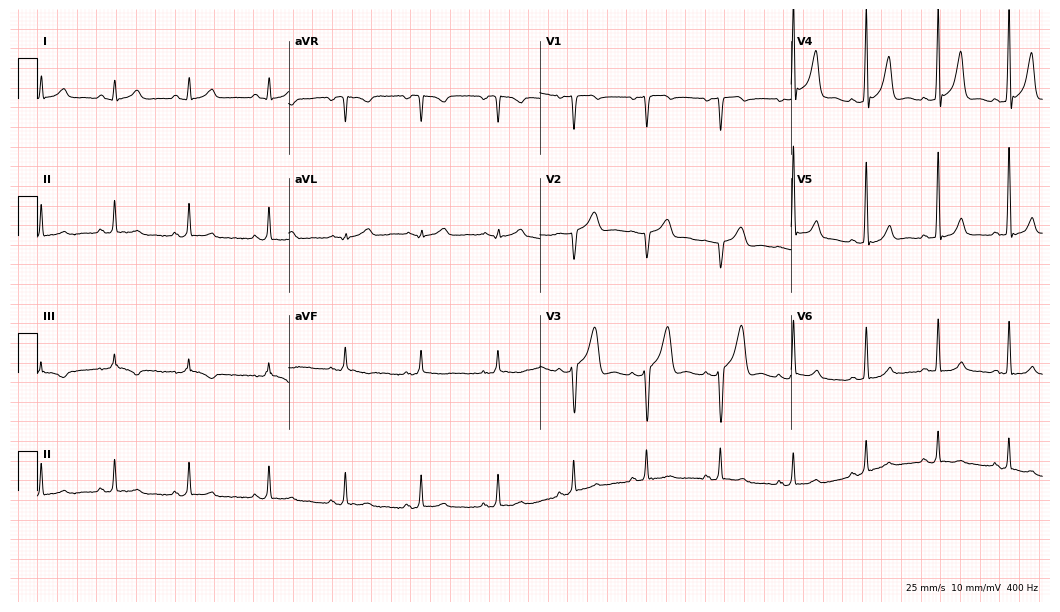
Electrocardiogram (10.2-second recording at 400 Hz), a male patient, 34 years old. Of the six screened findings (first-degree AV block, right bundle branch block (RBBB), left bundle branch block (LBBB), sinus bradycardia, atrial fibrillation (AF), sinus tachycardia), none is recorded. Only these six findings were labelled.